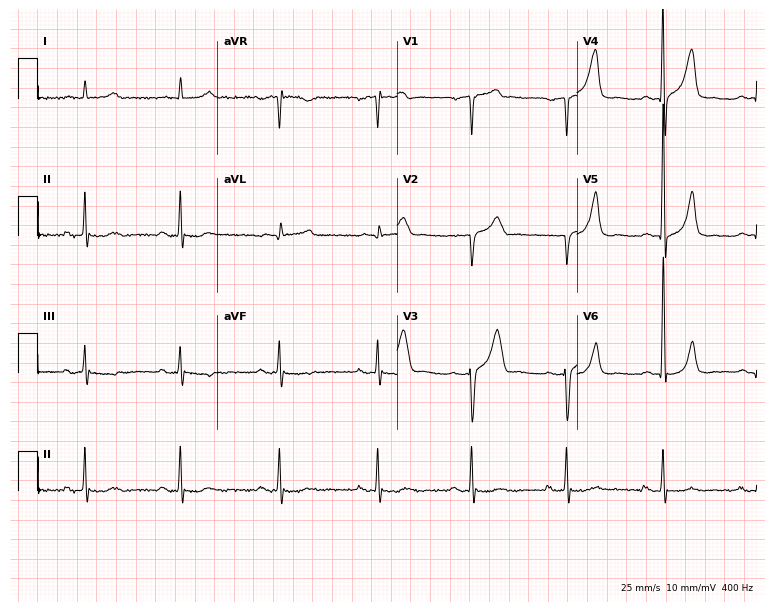
Electrocardiogram (7.3-second recording at 400 Hz), a 79-year-old man. Of the six screened findings (first-degree AV block, right bundle branch block (RBBB), left bundle branch block (LBBB), sinus bradycardia, atrial fibrillation (AF), sinus tachycardia), none is recorded. Findings outside these six are not listed.